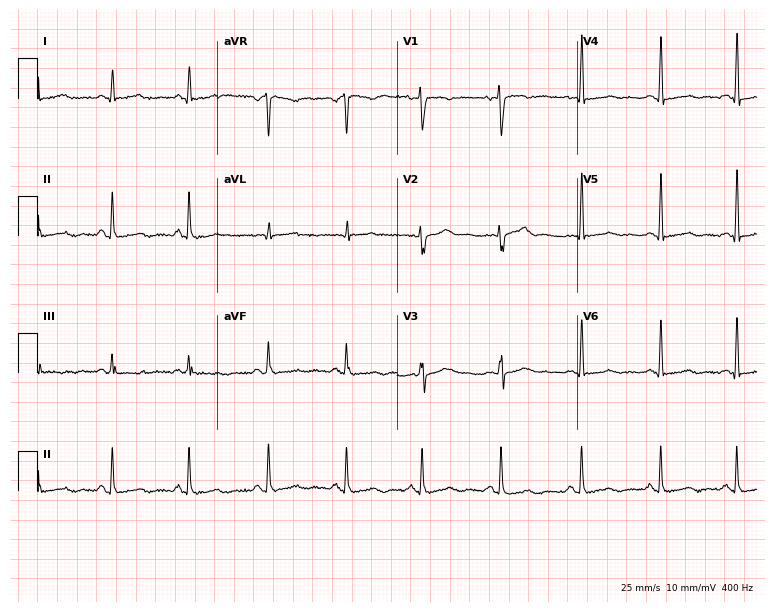
12-lead ECG from a woman, 42 years old (7.3-second recording at 400 Hz). No first-degree AV block, right bundle branch block, left bundle branch block, sinus bradycardia, atrial fibrillation or sinus tachycardia recorded for this tracing.